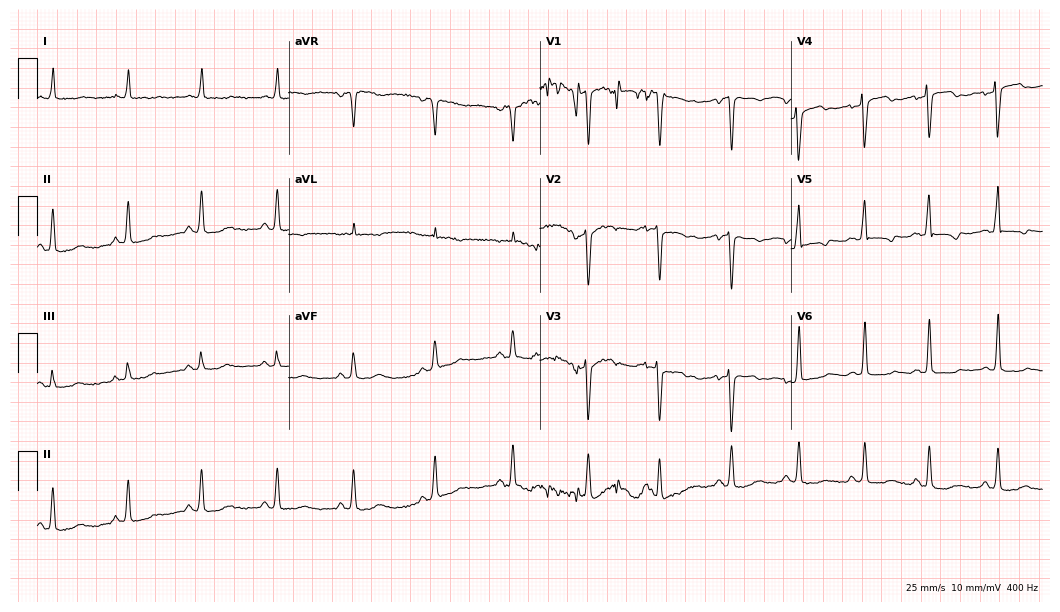
12-lead ECG from an 82-year-old woman (10.2-second recording at 400 Hz). No first-degree AV block, right bundle branch block, left bundle branch block, sinus bradycardia, atrial fibrillation or sinus tachycardia recorded for this tracing.